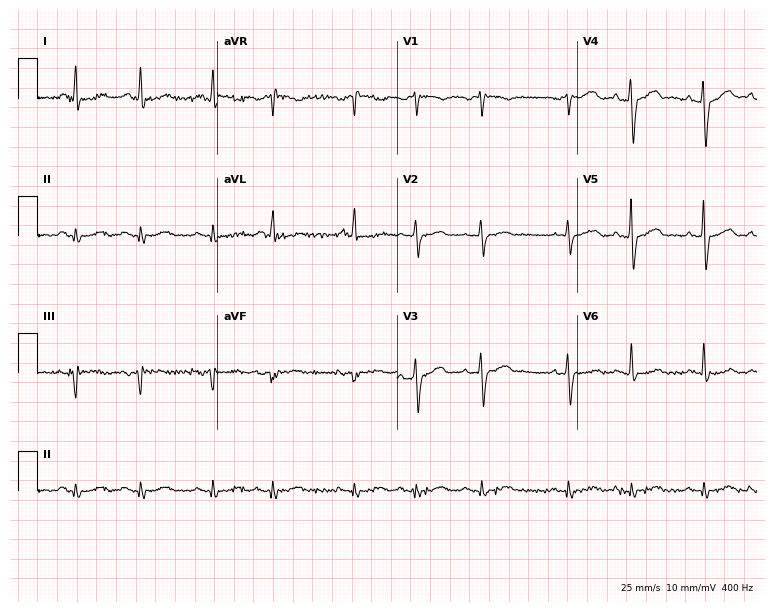
Electrocardiogram (7.3-second recording at 400 Hz), a male, 73 years old. Of the six screened findings (first-degree AV block, right bundle branch block (RBBB), left bundle branch block (LBBB), sinus bradycardia, atrial fibrillation (AF), sinus tachycardia), none is recorded.